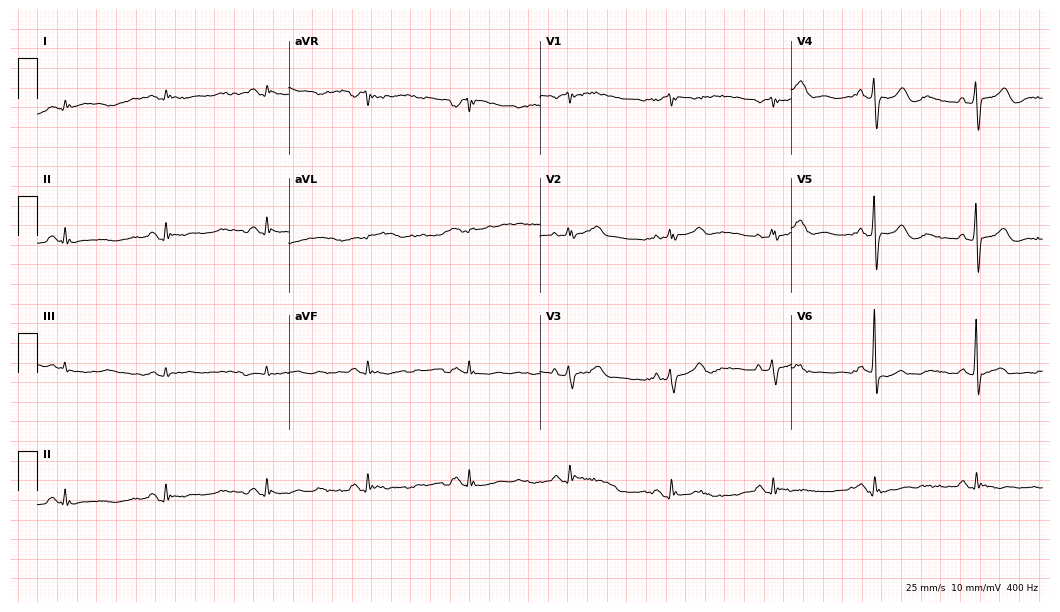
12-lead ECG from an 87-year-old male. Screened for six findings — first-degree AV block, right bundle branch block, left bundle branch block, sinus bradycardia, atrial fibrillation, sinus tachycardia — none is recorded.